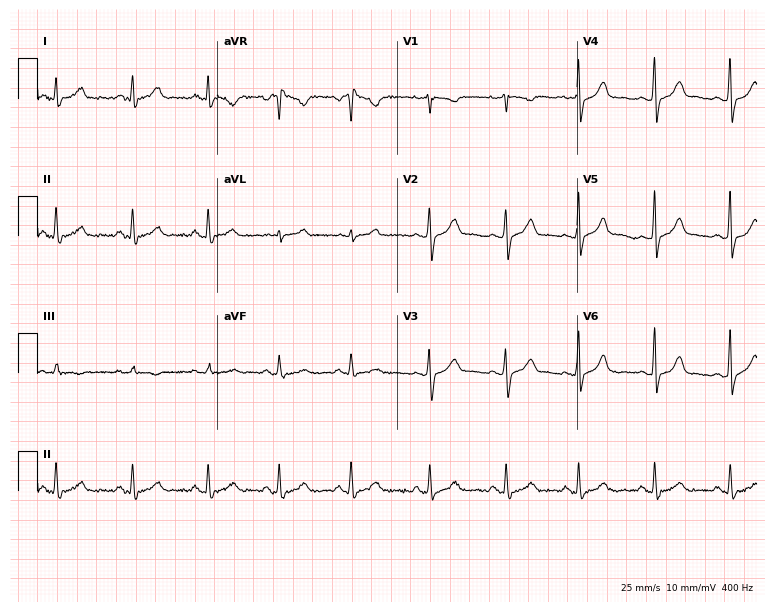
12-lead ECG from a 23-year-old woman. Recorded interpretation: within normal limits.